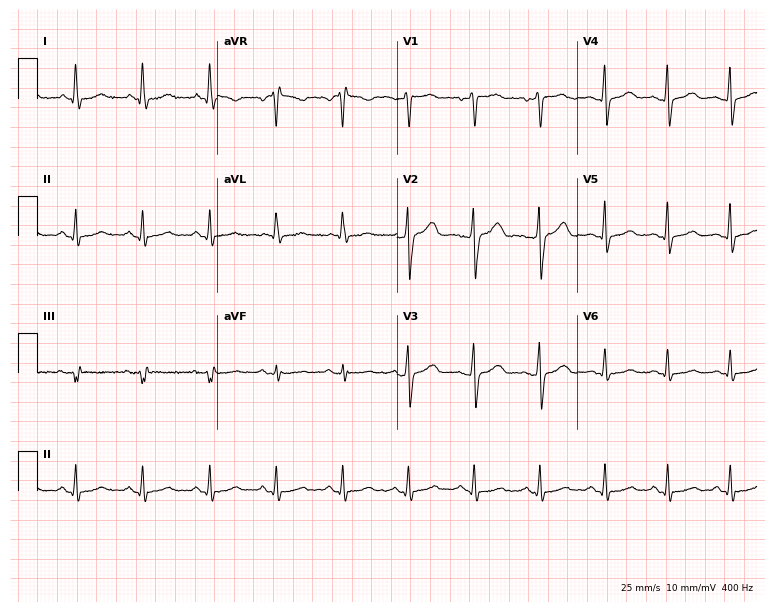
12-lead ECG from a woman, 57 years old (7.3-second recording at 400 Hz). Recorded interpretation: within normal limits.